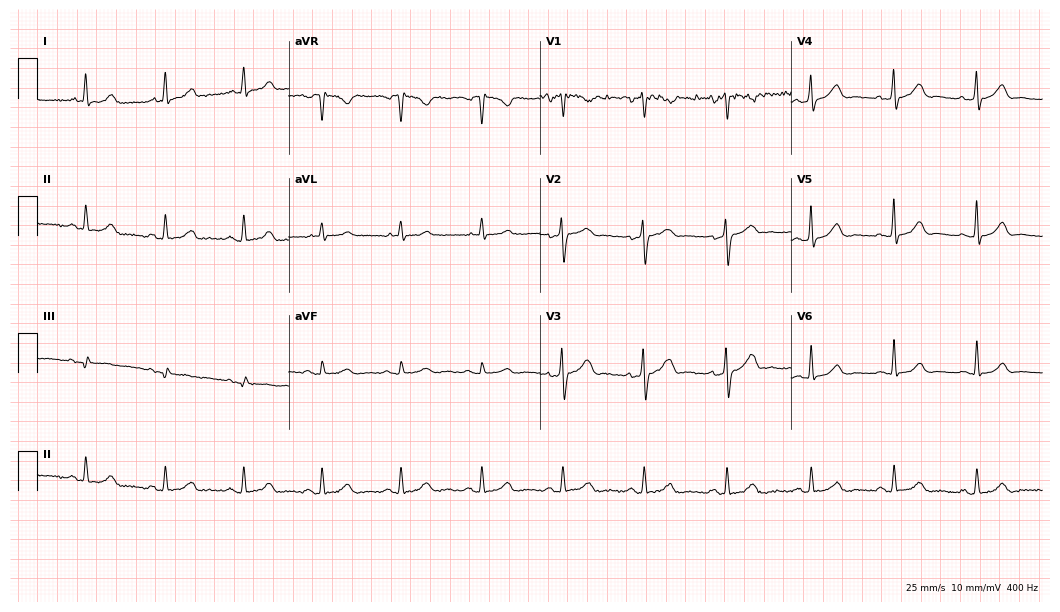
Resting 12-lead electrocardiogram (10.2-second recording at 400 Hz). Patient: a man, 44 years old. Read as a normal ECG.